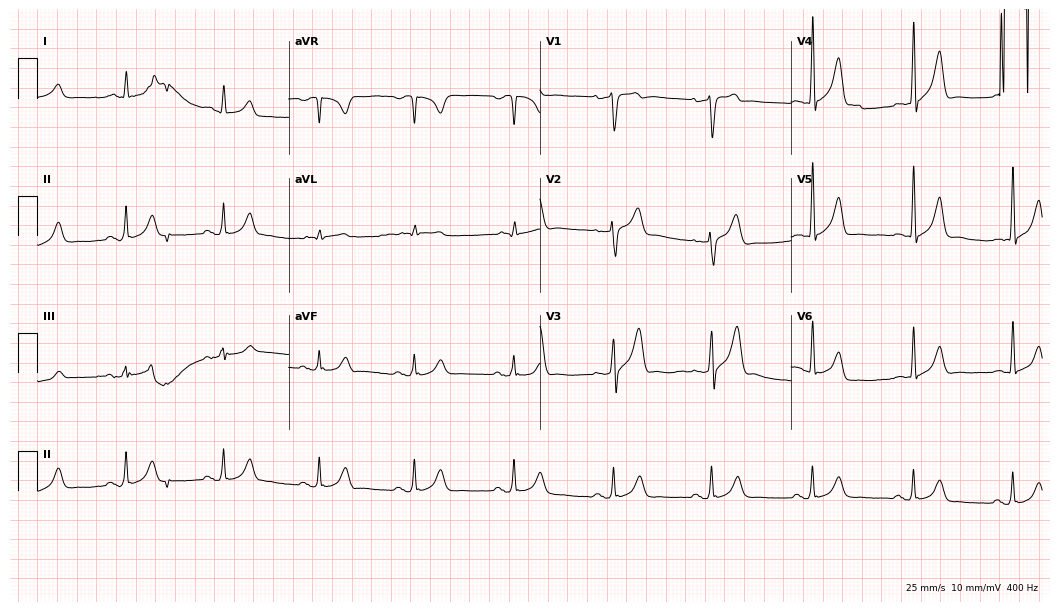
Resting 12-lead electrocardiogram. Patient: a 62-year-old man. None of these six findings is recorded: first-degree AV block, right bundle branch block (RBBB), left bundle branch block (LBBB), sinus bradycardia, atrial fibrillation (AF), sinus tachycardia.